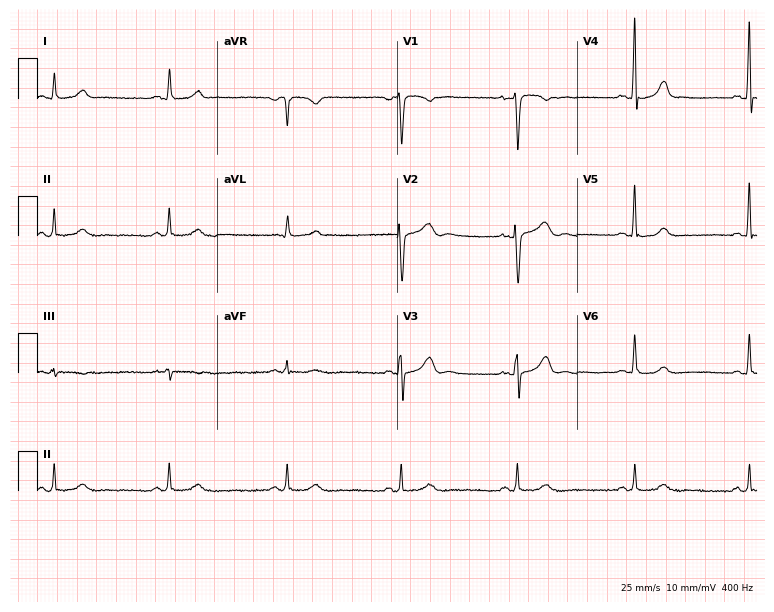
12-lead ECG from a 51-year-old woman (7.3-second recording at 400 Hz). Recorded interpretation: within normal limits.